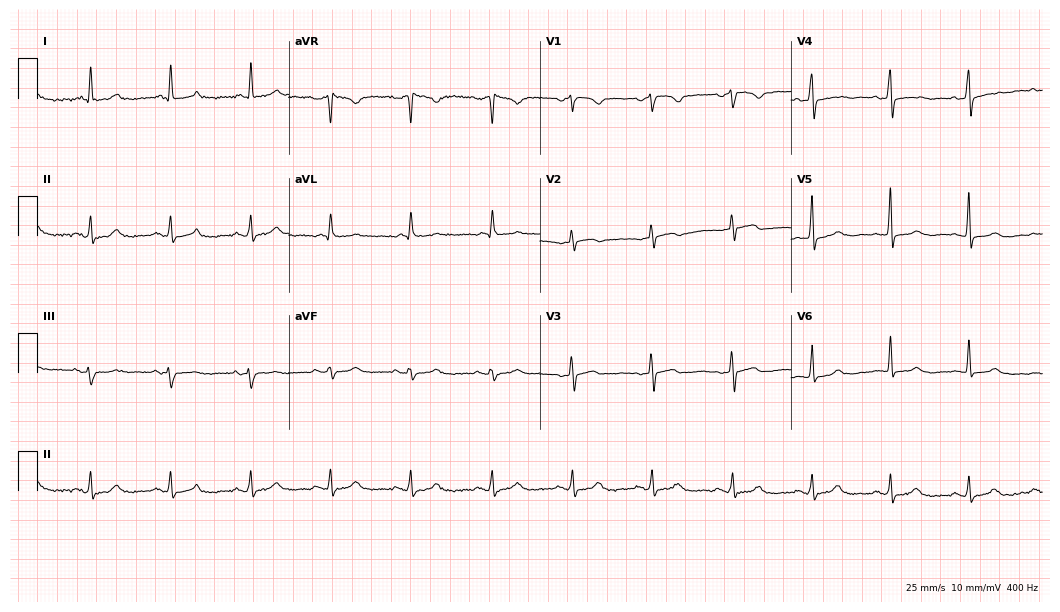
Standard 12-lead ECG recorded from a woman, 77 years old. Read as a normal ECG.